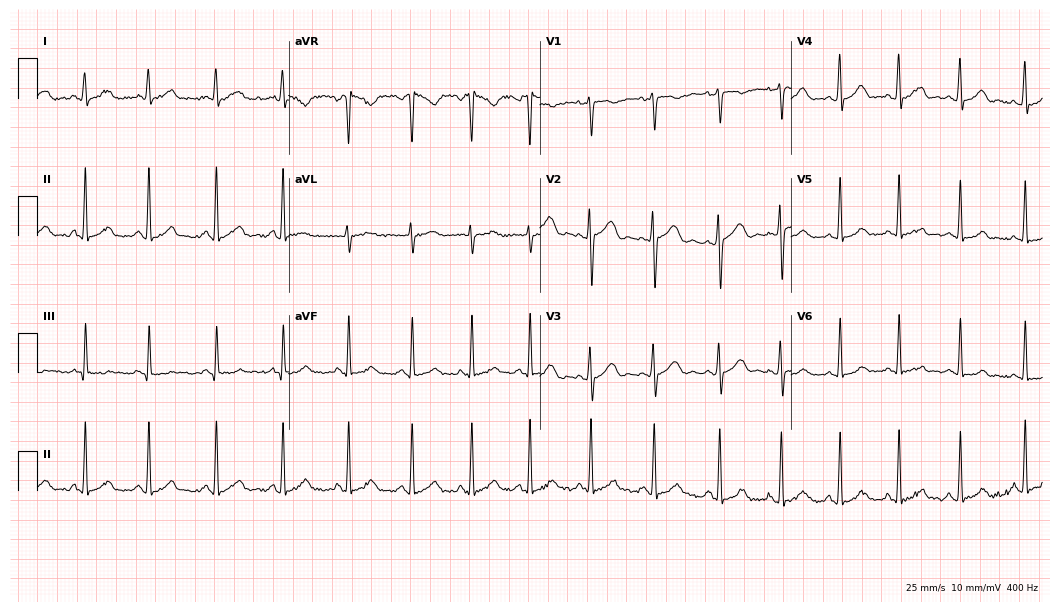
12-lead ECG from a female, 18 years old. Labelled as a normal ECG.